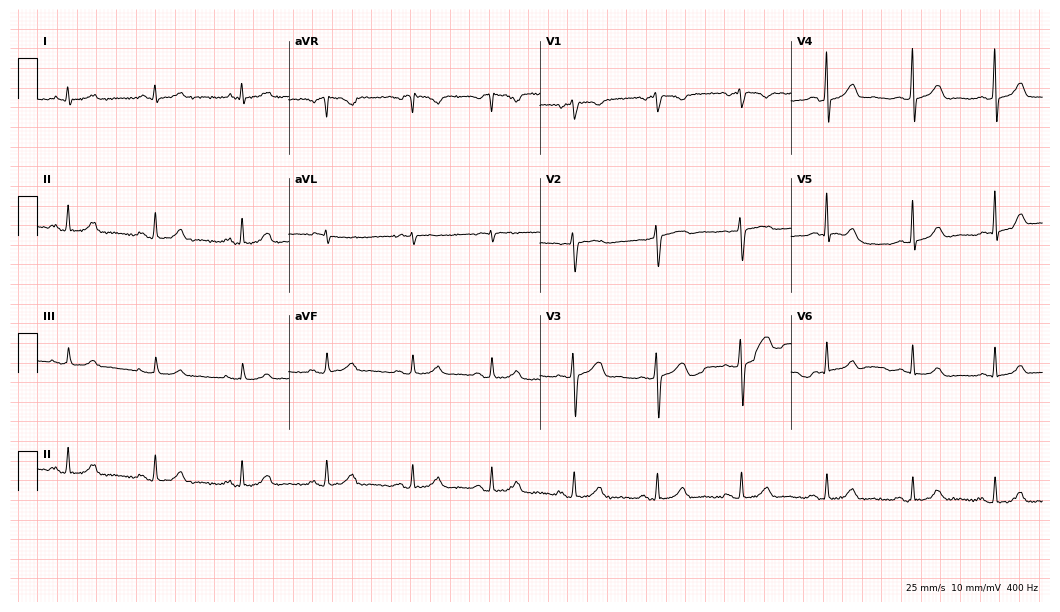
Resting 12-lead electrocardiogram (10.2-second recording at 400 Hz). Patient: a 41-year-old female. Read as a normal ECG.